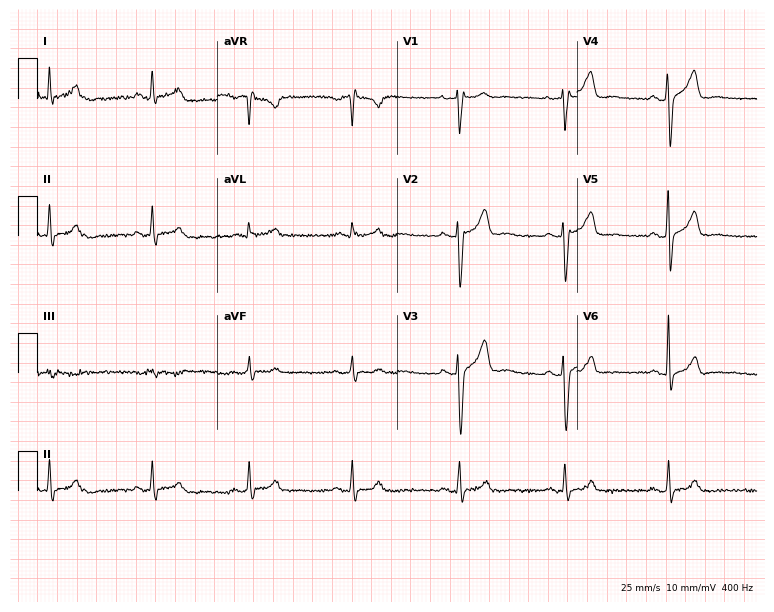
12-lead ECG (7.3-second recording at 400 Hz) from a 43-year-old male patient. Labelled as a normal ECG.